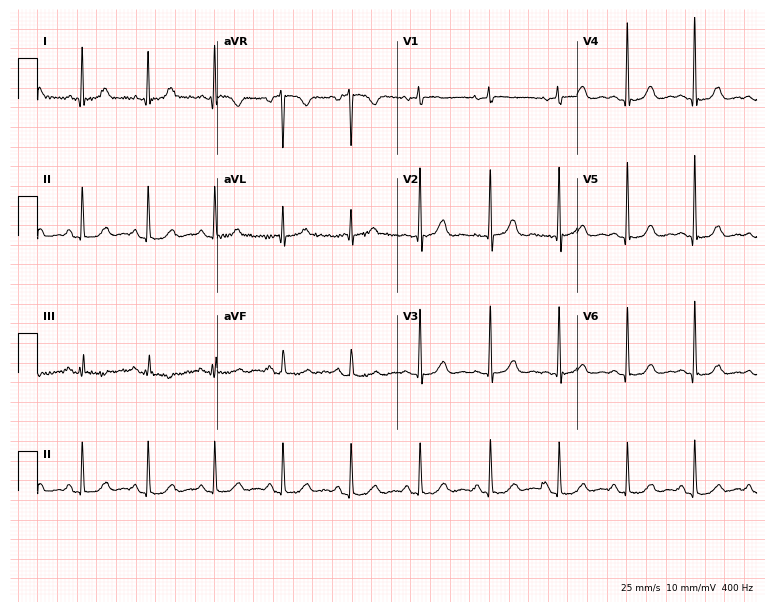
Resting 12-lead electrocardiogram. Patient: a woman, 58 years old. Read as a normal ECG.